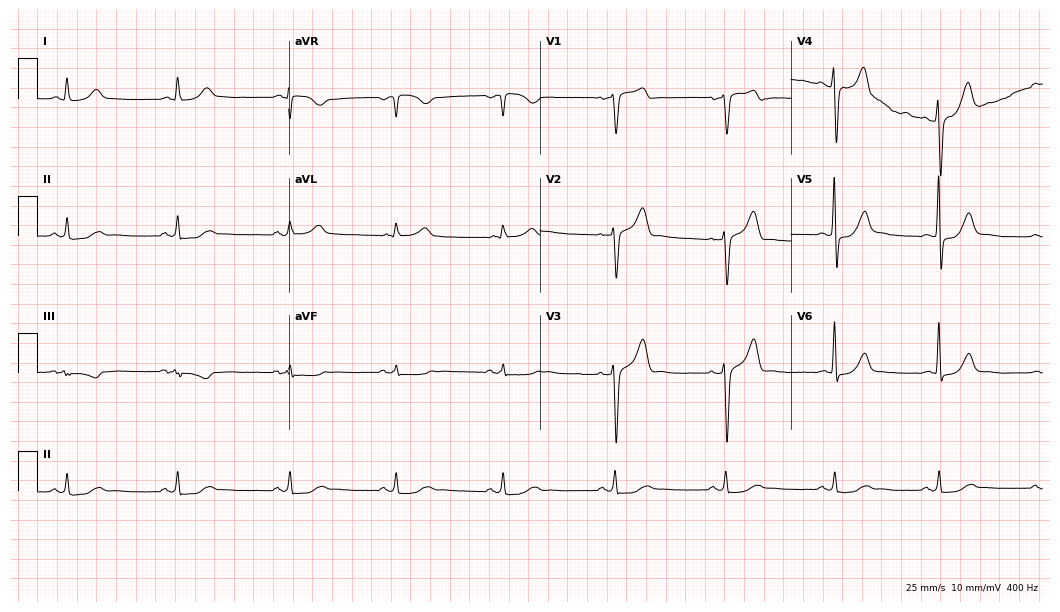
ECG (10.2-second recording at 400 Hz) — a 53-year-old man. Screened for six findings — first-degree AV block, right bundle branch block, left bundle branch block, sinus bradycardia, atrial fibrillation, sinus tachycardia — none is recorded.